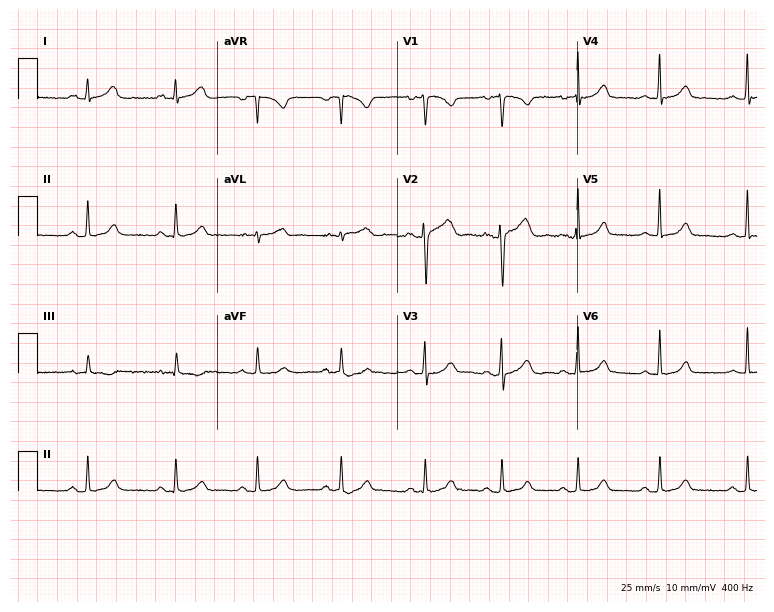
Standard 12-lead ECG recorded from a female patient, 34 years old (7.3-second recording at 400 Hz). None of these six findings is recorded: first-degree AV block, right bundle branch block (RBBB), left bundle branch block (LBBB), sinus bradycardia, atrial fibrillation (AF), sinus tachycardia.